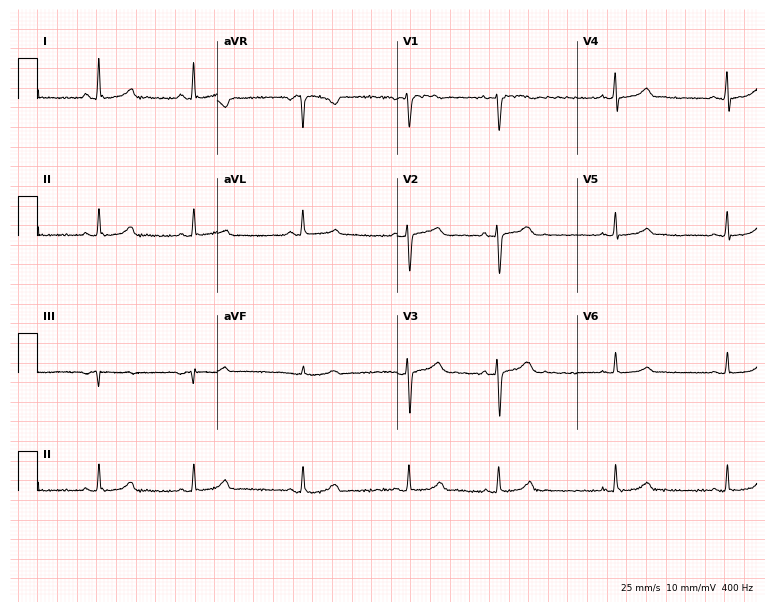
Standard 12-lead ECG recorded from a female, 40 years old. Read as a normal ECG.